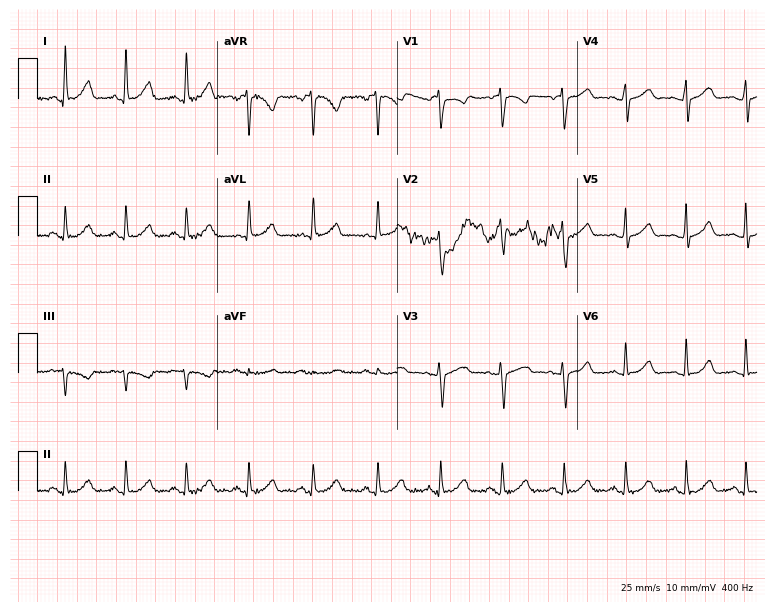
12-lead ECG (7.3-second recording at 400 Hz) from a 39-year-old female. Labelled as a normal ECG.